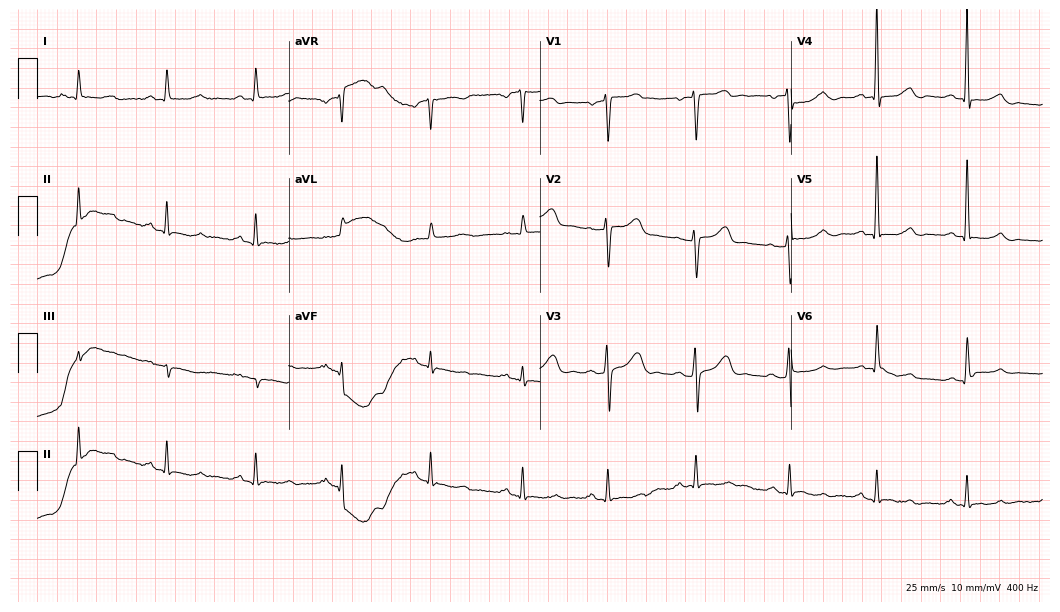
Standard 12-lead ECG recorded from a male, 61 years old (10.2-second recording at 400 Hz). None of these six findings is recorded: first-degree AV block, right bundle branch block, left bundle branch block, sinus bradycardia, atrial fibrillation, sinus tachycardia. Findings outside these six are not listed.